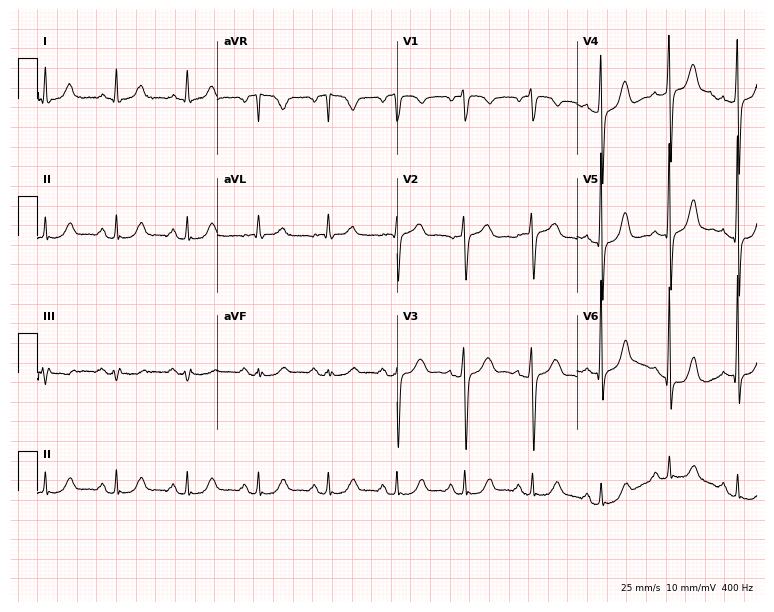
Resting 12-lead electrocardiogram (7.3-second recording at 400 Hz). Patient: a woman, 44 years old. Read as a normal ECG.